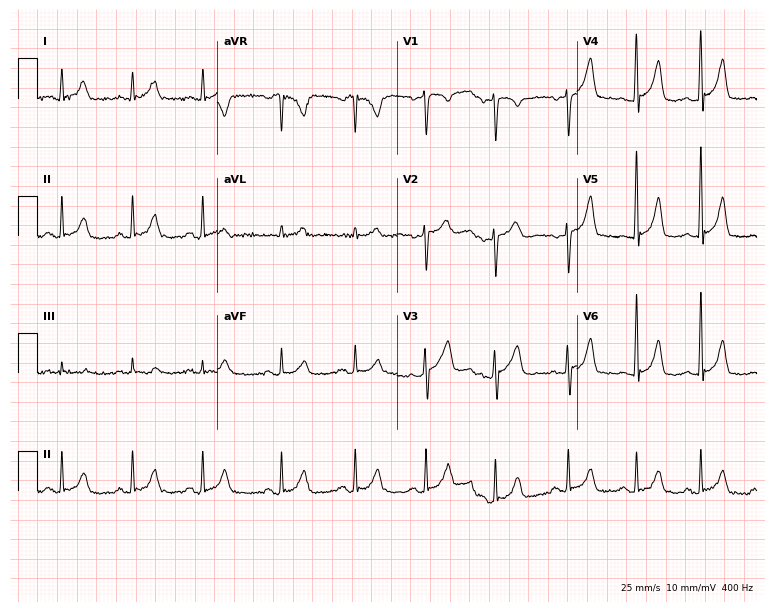
Resting 12-lead electrocardiogram. Patient: a 40-year-old man. Read as a normal ECG.